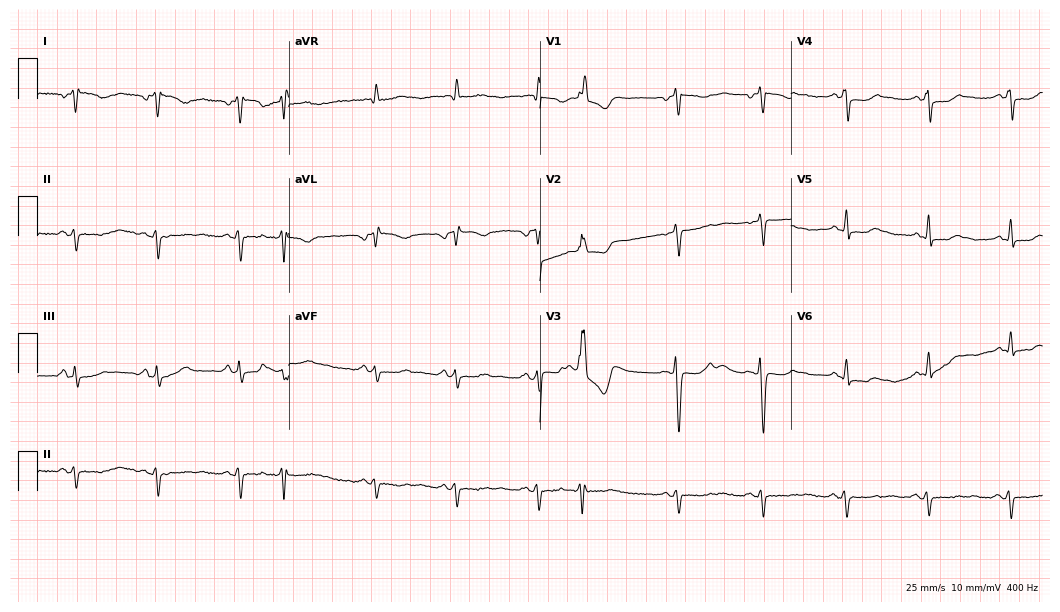
12-lead ECG (10.2-second recording at 400 Hz) from a 59-year-old female. Screened for six findings — first-degree AV block, right bundle branch block, left bundle branch block, sinus bradycardia, atrial fibrillation, sinus tachycardia — none is recorded. Only these six findings were labelled.